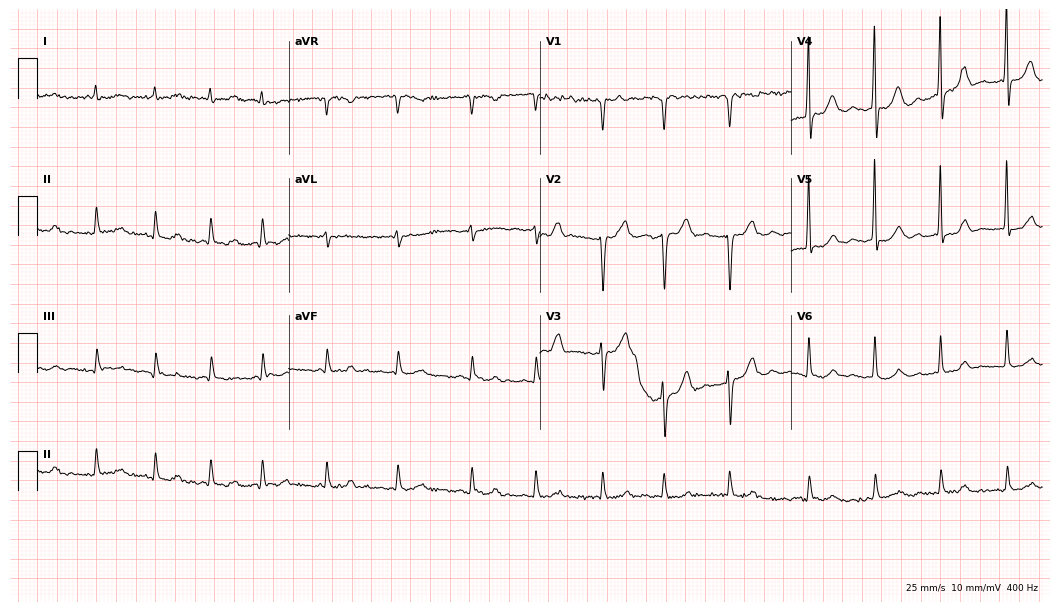
Standard 12-lead ECG recorded from an 84-year-old male patient (10.2-second recording at 400 Hz). None of these six findings is recorded: first-degree AV block, right bundle branch block, left bundle branch block, sinus bradycardia, atrial fibrillation, sinus tachycardia.